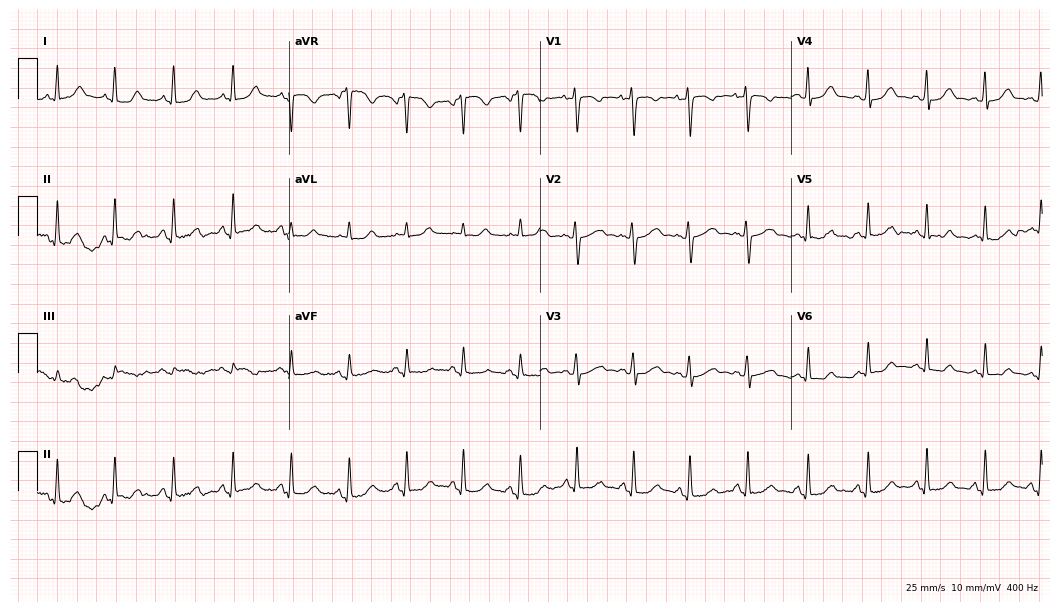
12-lead ECG from a female patient, 19 years old. Findings include sinus tachycardia (a sinus rate of 100 beats per minute or more).